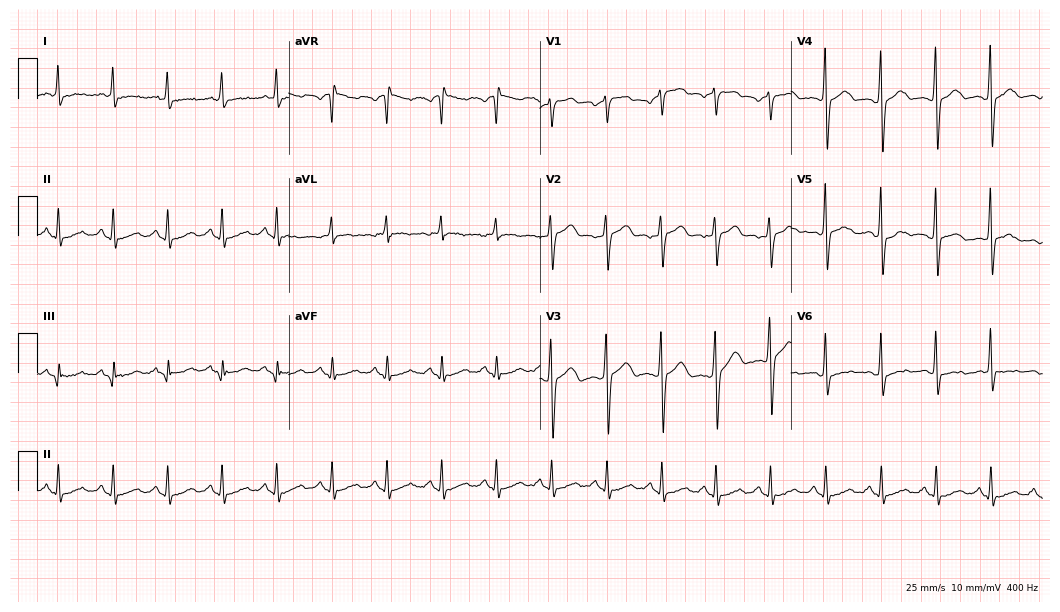
Resting 12-lead electrocardiogram. Patient: a female, 75 years old. The tracing shows sinus tachycardia (a sinus rate of 100 beats per minute or more).